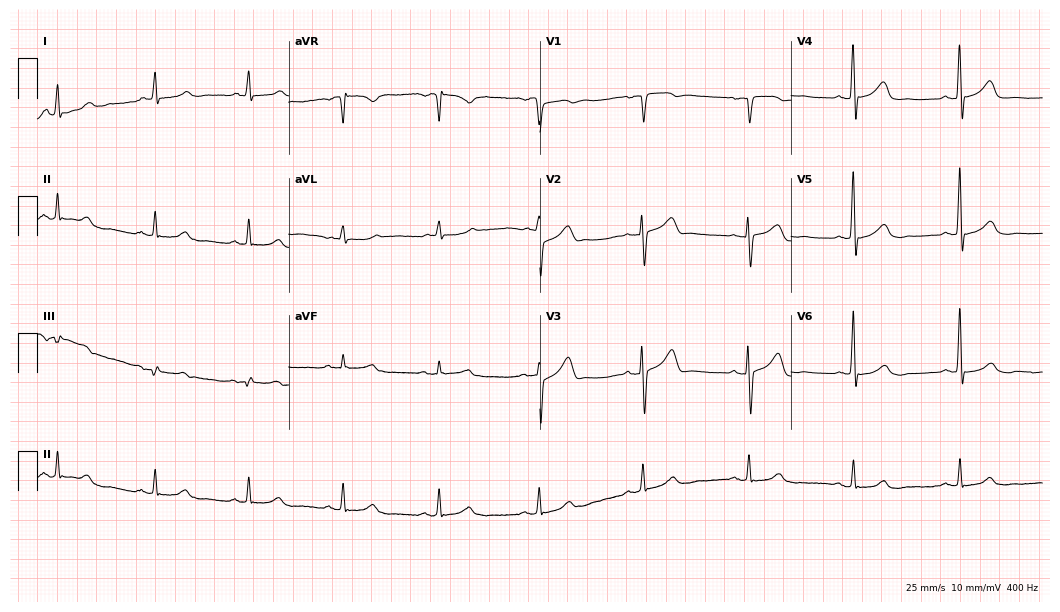
Electrocardiogram (10.2-second recording at 400 Hz), a 60-year-old man. Overall reading on record: normal ECG.